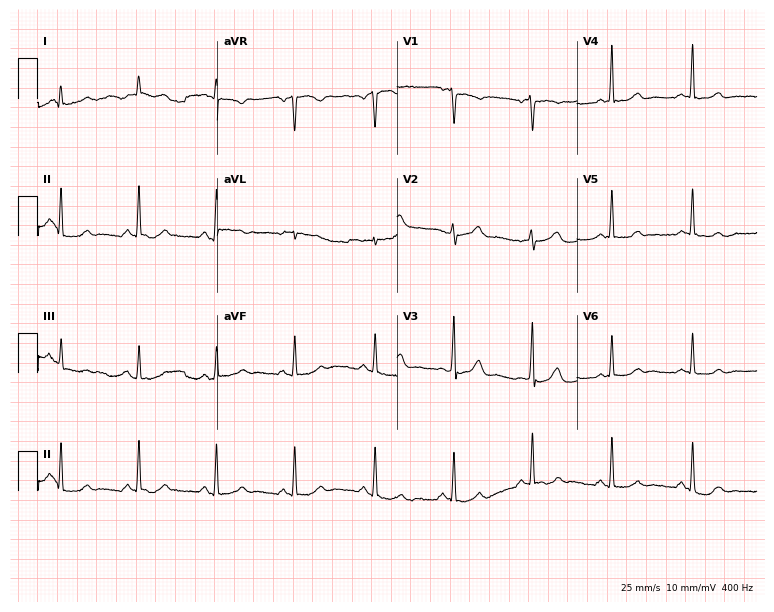
12-lead ECG from a female patient, 50 years old. Labelled as a normal ECG.